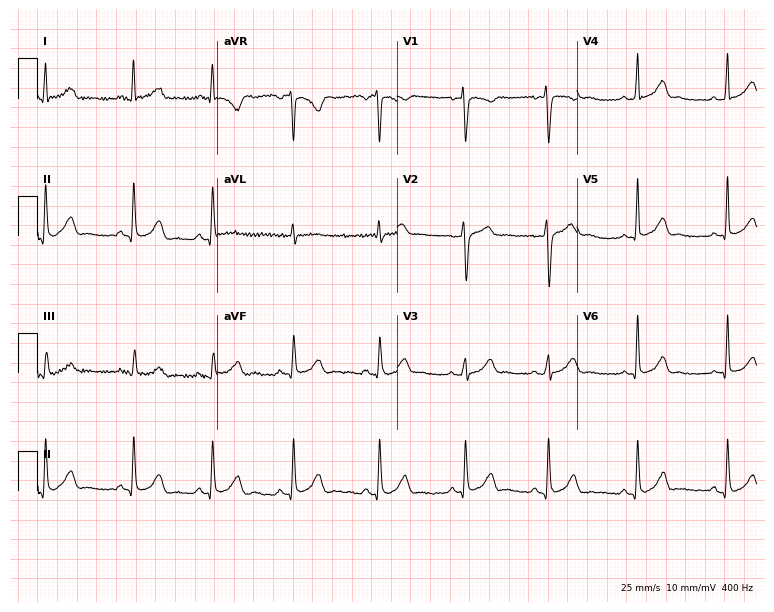
12-lead ECG (7.3-second recording at 400 Hz) from a male patient, 27 years old. Labelled as a normal ECG.